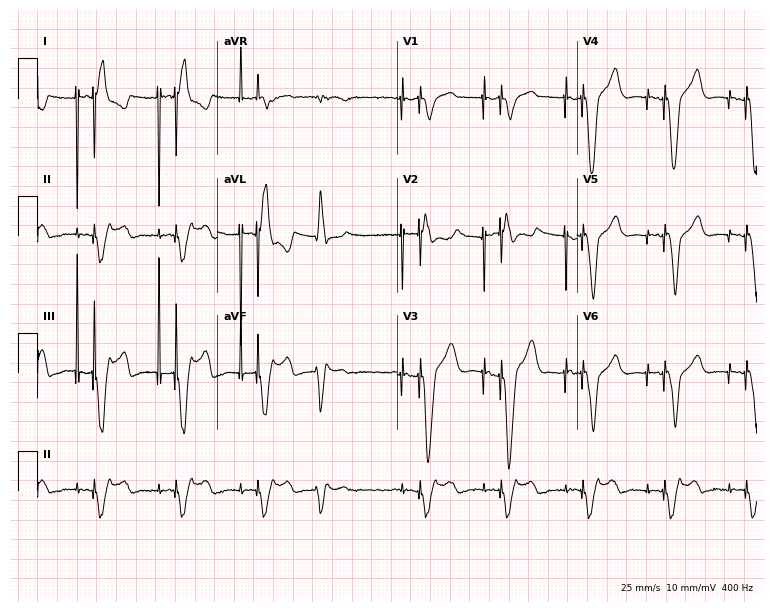
Standard 12-lead ECG recorded from a female, 84 years old. None of these six findings is recorded: first-degree AV block, right bundle branch block (RBBB), left bundle branch block (LBBB), sinus bradycardia, atrial fibrillation (AF), sinus tachycardia. Only these six findings were labelled.